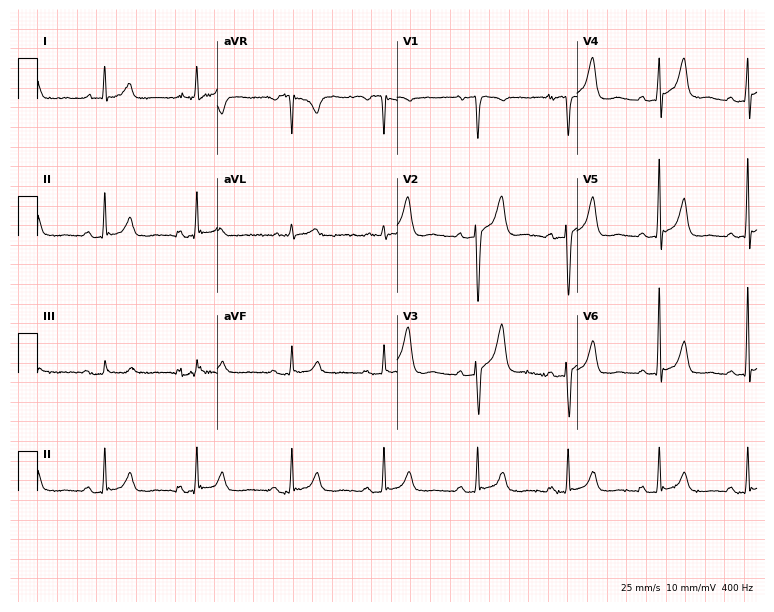
ECG (7.3-second recording at 400 Hz) — a 69-year-old male patient. Screened for six findings — first-degree AV block, right bundle branch block (RBBB), left bundle branch block (LBBB), sinus bradycardia, atrial fibrillation (AF), sinus tachycardia — none is recorded.